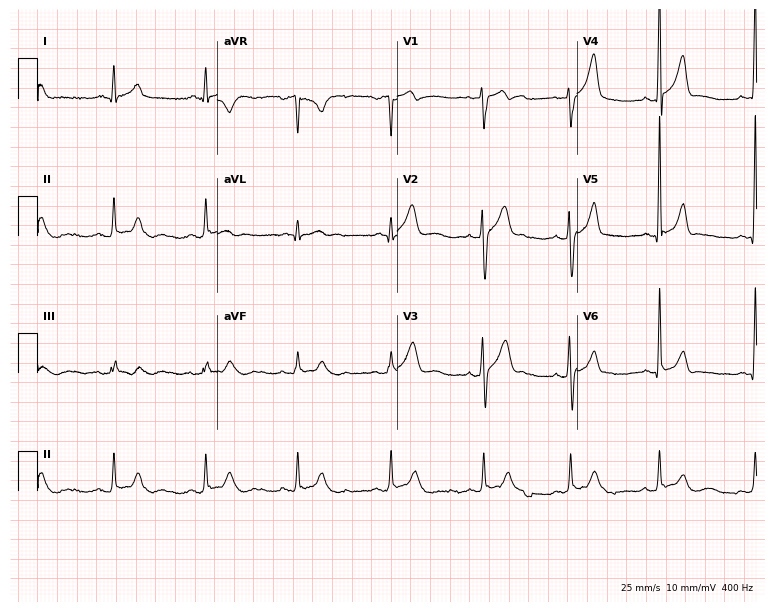
ECG — a 29-year-old male. Screened for six findings — first-degree AV block, right bundle branch block, left bundle branch block, sinus bradycardia, atrial fibrillation, sinus tachycardia — none is recorded.